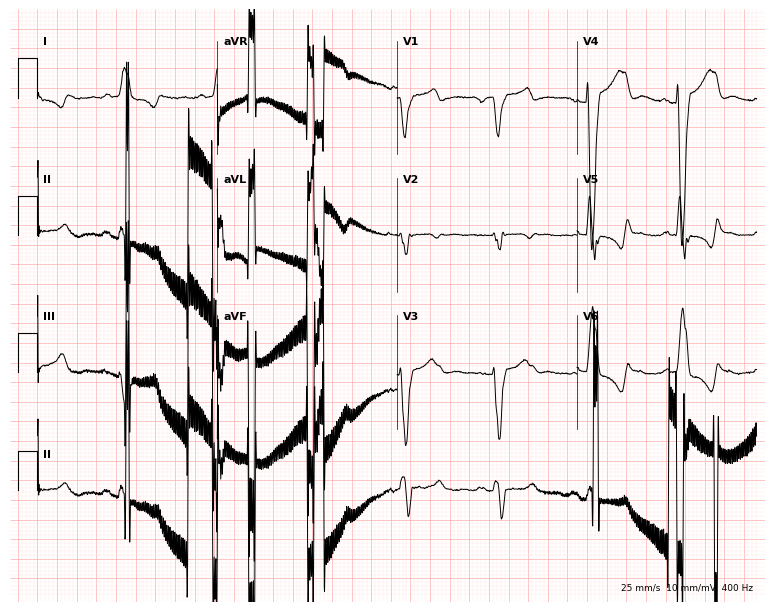
Electrocardiogram (7.3-second recording at 400 Hz), a female, 76 years old. Of the six screened findings (first-degree AV block, right bundle branch block, left bundle branch block, sinus bradycardia, atrial fibrillation, sinus tachycardia), none is recorded. Only these six findings were labelled.